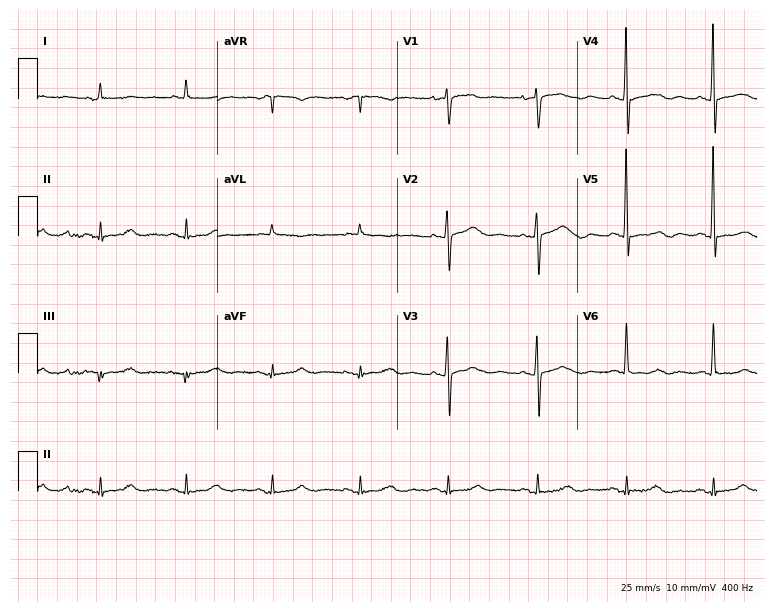
12-lead ECG from a female patient, 74 years old (7.3-second recording at 400 Hz). No first-degree AV block, right bundle branch block (RBBB), left bundle branch block (LBBB), sinus bradycardia, atrial fibrillation (AF) or sinus tachycardia recorded for this tracing.